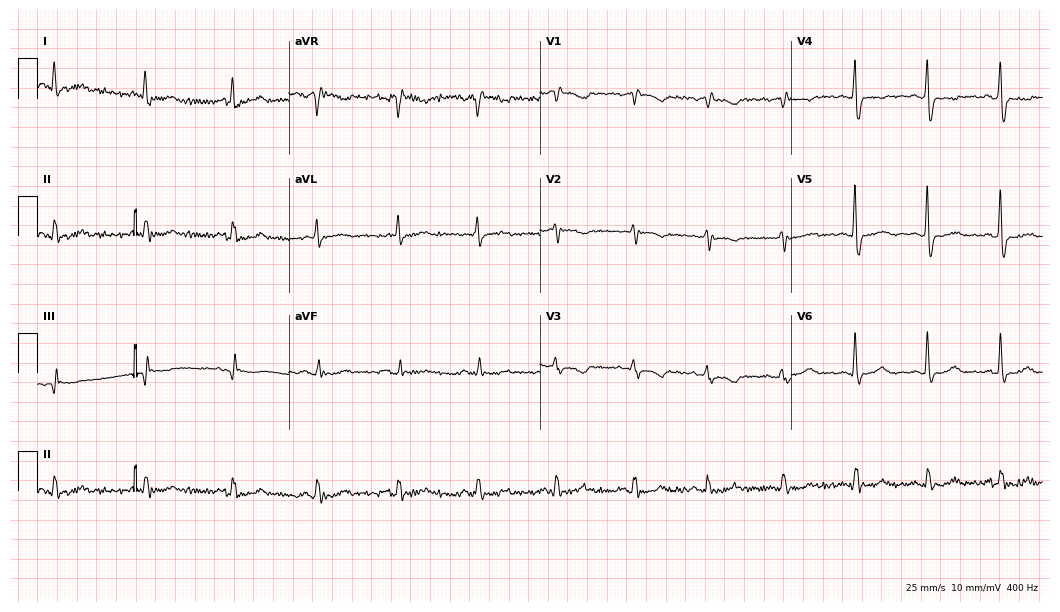
Electrocardiogram (10.2-second recording at 400 Hz), a female, 71 years old. Of the six screened findings (first-degree AV block, right bundle branch block (RBBB), left bundle branch block (LBBB), sinus bradycardia, atrial fibrillation (AF), sinus tachycardia), none is recorded. Findings outside these six are not listed.